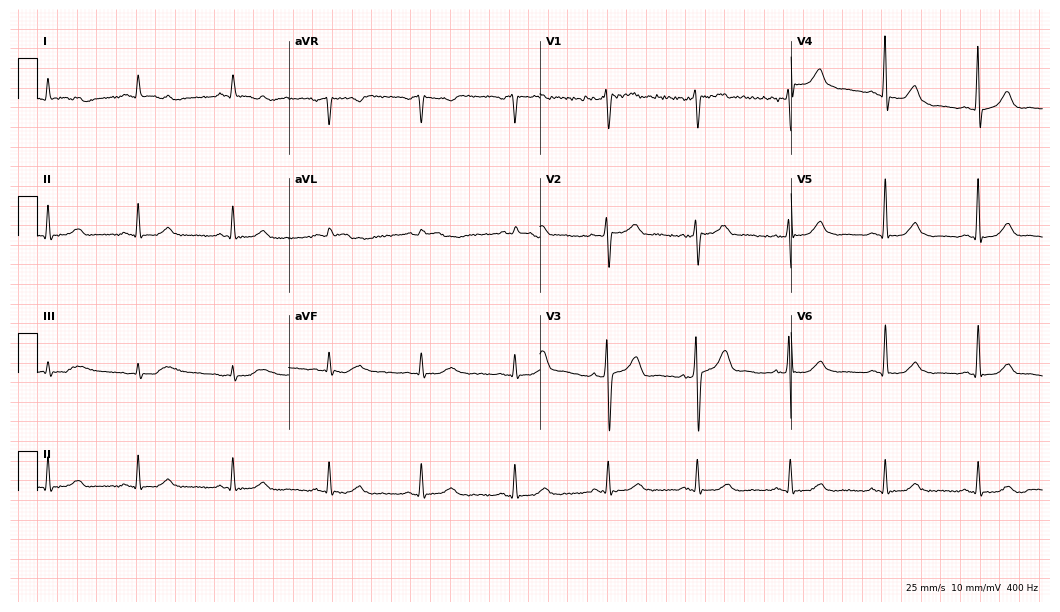
12-lead ECG from a 65-year-old male. Labelled as a normal ECG.